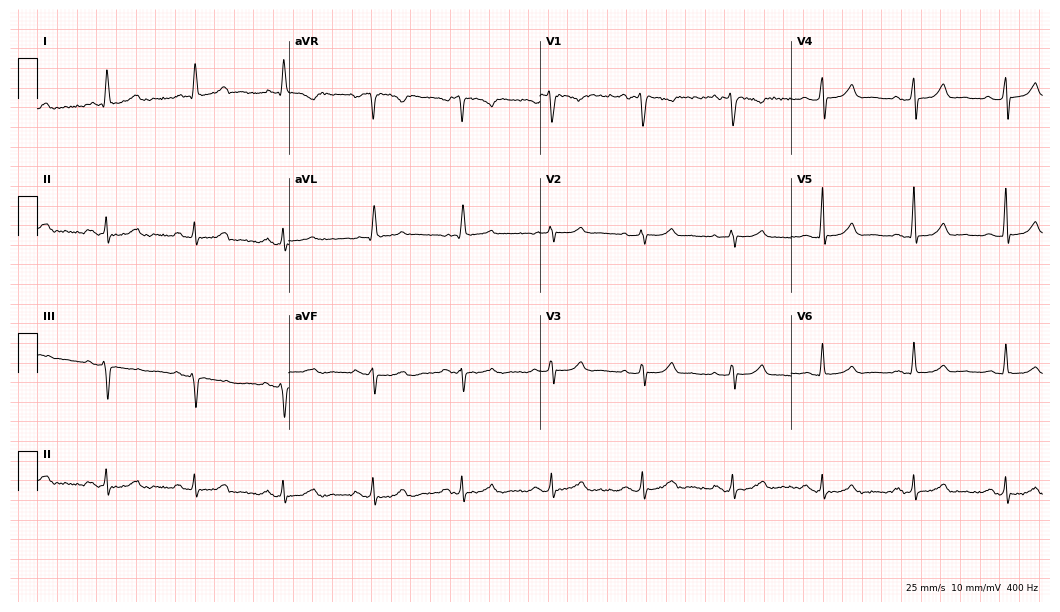
Standard 12-lead ECG recorded from a female, 57 years old (10.2-second recording at 400 Hz). Read as a normal ECG.